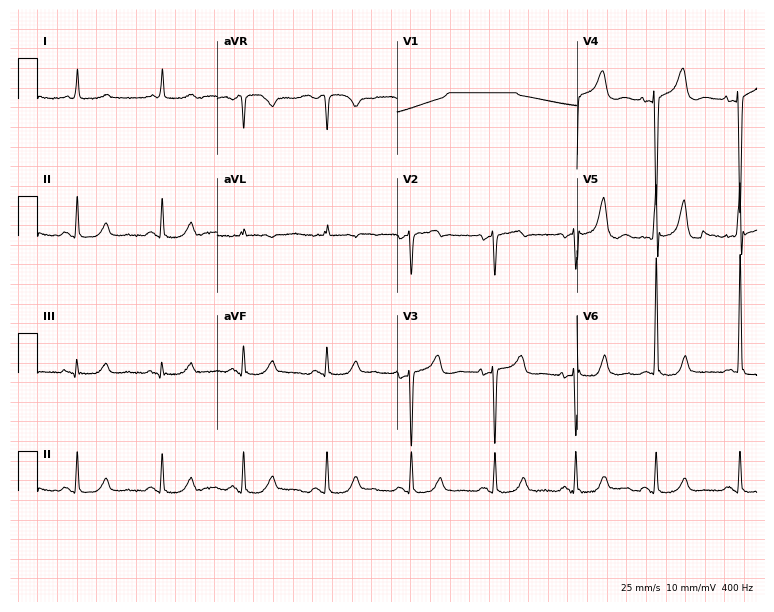
12-lead ECG from a female patient, 72 years old (7.3-second recording at 400 Hz). No first-degree AV block, right bundle branch block, left bundle branch block, sinus bradycardia, atrial fibrillation or sinus tachycardia recorded for this tracing. Other findings, if any, are not listed.